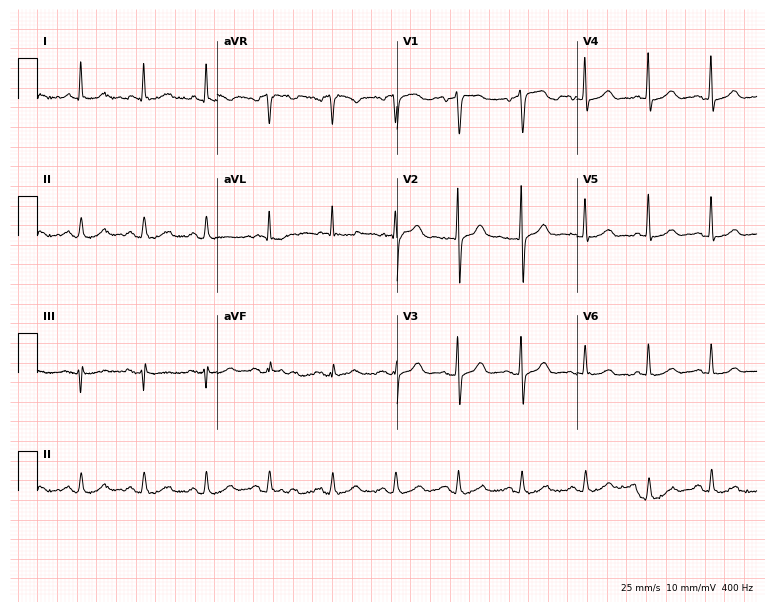
ECG — a 74-year-old male patient. Screened for six findings — first-degree AV block, right bundle branch block, left bundle branch block, sinus bradycardia, atrial fibrillation, sinus tachycardia — none is recorded. Other findings, if any, are not listed.